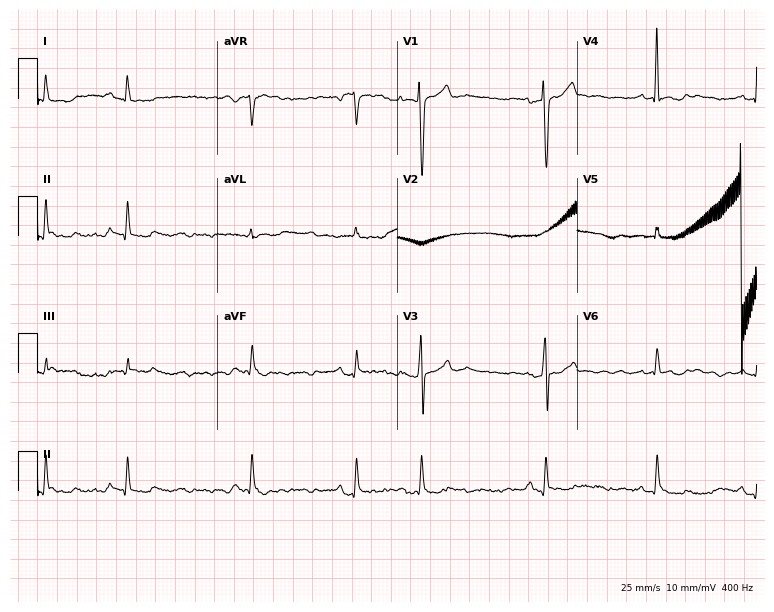
Standard 12-lead ECG recorded from a male patient, 73 years old (7.3-second recording at 400 Hz). None of these six findings is recorded: first-degree AV block, right bundle branch block, left bundle branch block, sinus bradycardia, atrial fibrillation, sinus tachycardia. Findings outside these six are not listed.